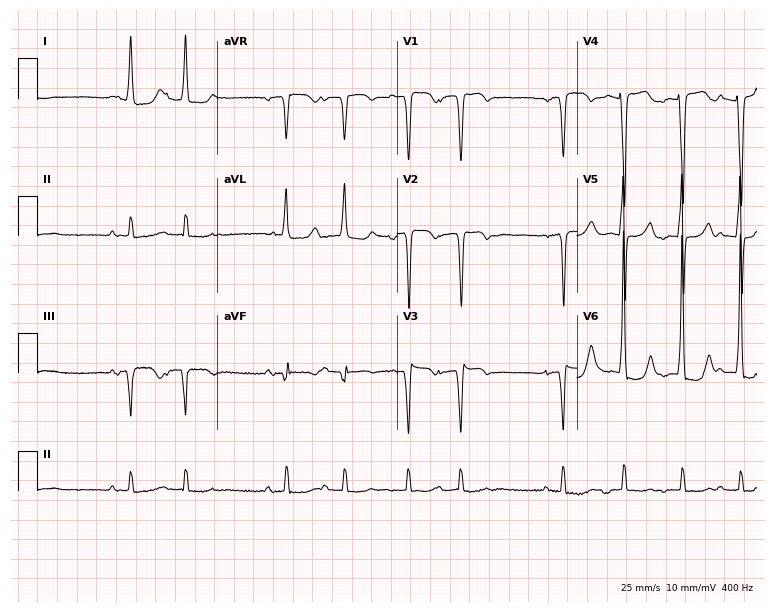
12-lead ECG from an 82-year-old woman (7.3-second recording at 400 Hz). No first-degree AV block, right bundle branch block, left bundle branch block, sinus bradycardia, atrial fibrillation or sinus tachycardia recorded for this tracing. Only these six findings were labelled.